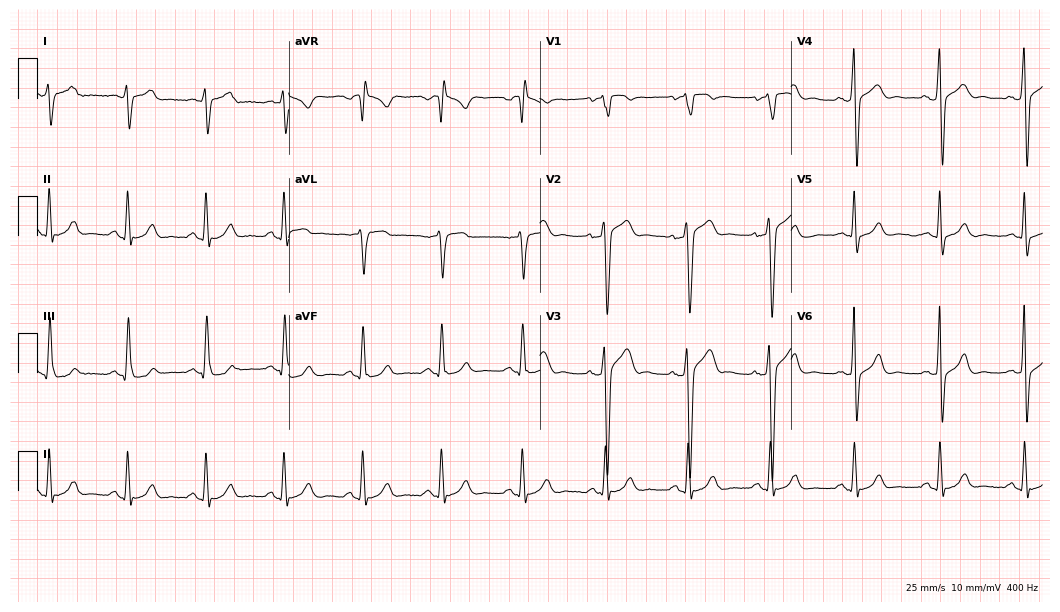
12-lead ECG from a male patient, 41 years old (10.2-second recording at 400 Hz). Recorded interpretation: within normal limits.